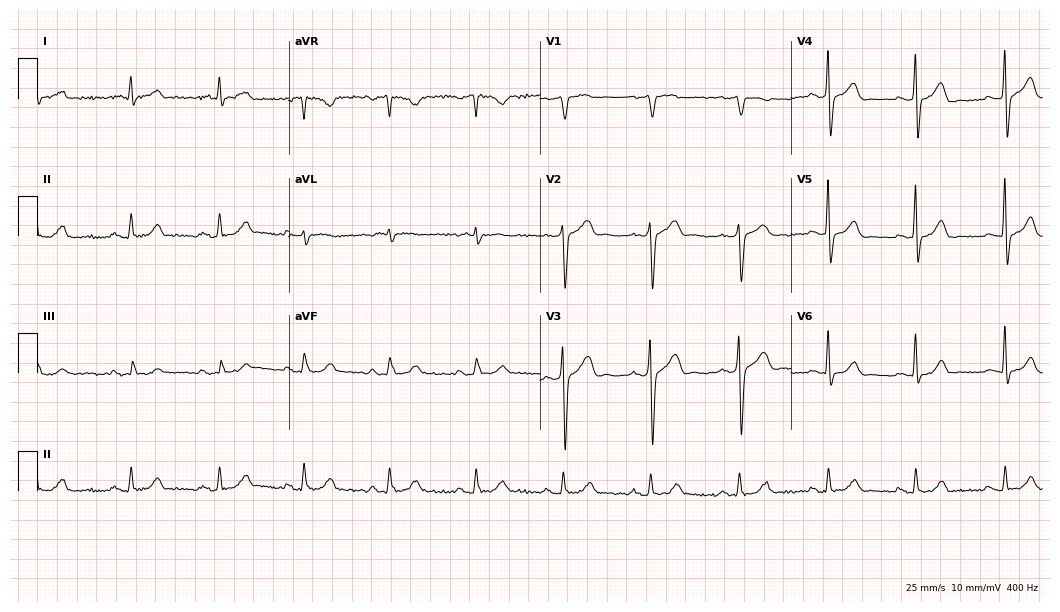
ECG — a 69-year-old man. Labelled as a normal ECG.